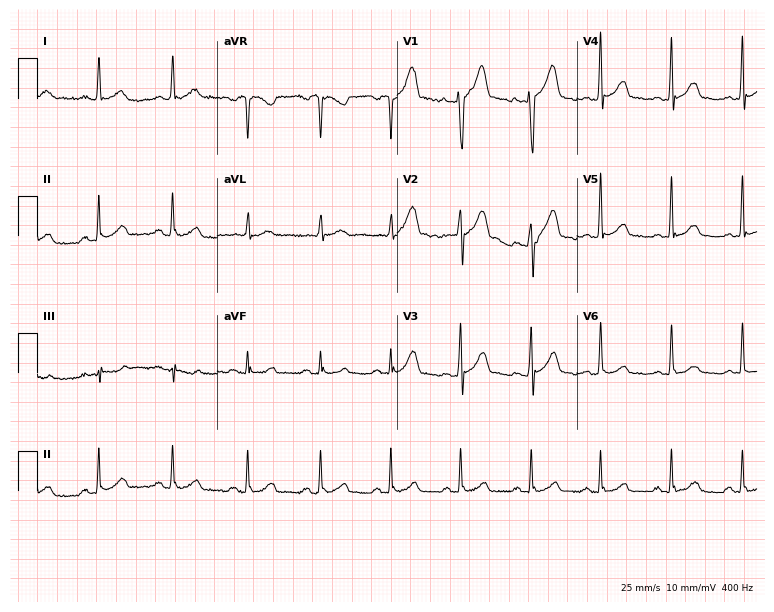
Electrocardiogram, a man, 30 years old. Overall reading on record: normal ECG.